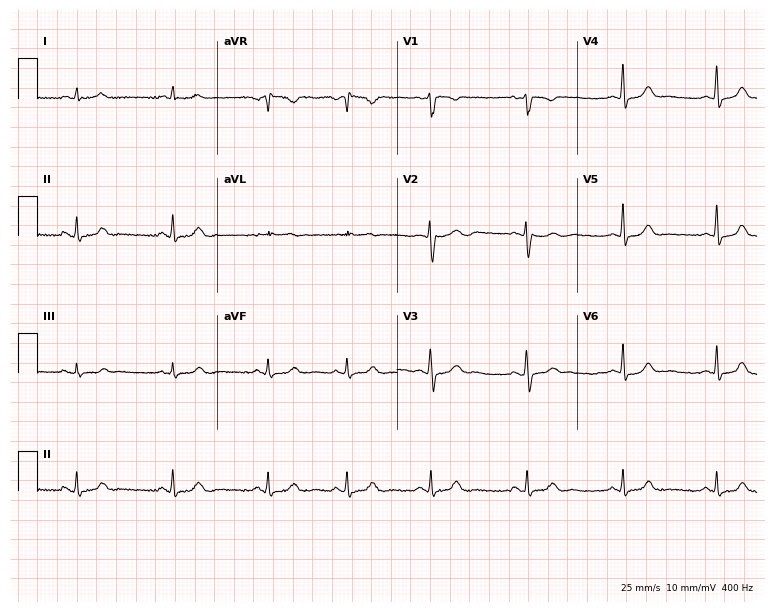
12-lead ECG (7.3-second recording at 400 Hz) from an 18-year-old woman. Screened for six findings — first-degree AV block, right bundle branch block, left bundle branch block, sinus bradycardia, atrial fibrillation, sinus tachycardia — none is recorded. Only these six findings were labelled.